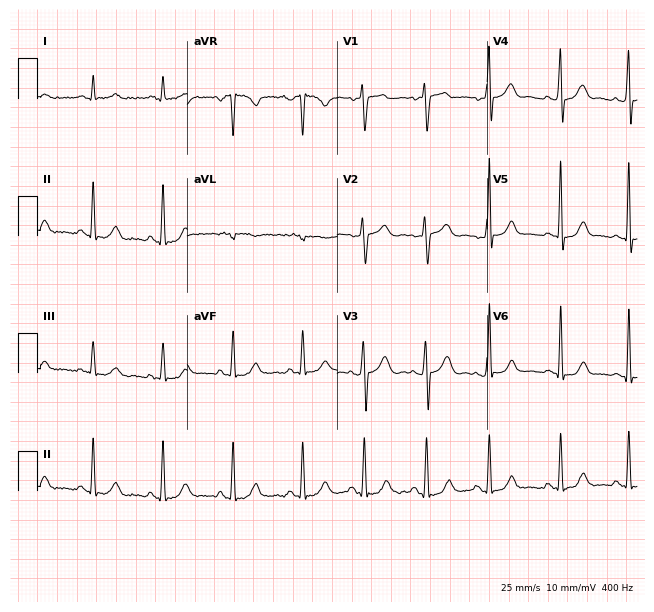
ECG (6.1-second recording at 400 Hz) — a 27-year-old woman. Labelled as a normal ECG.